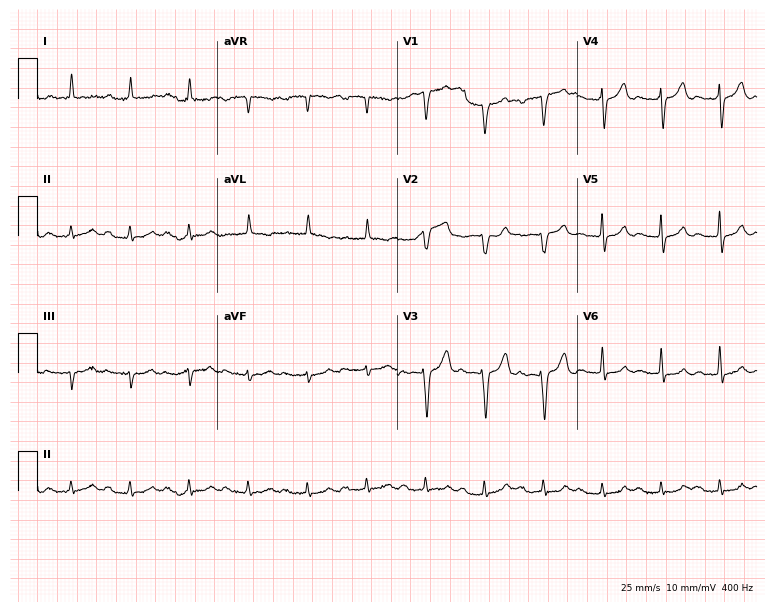
Electrocardiogram, an 83-year-old man. Interpretation includes first-degree AV block.